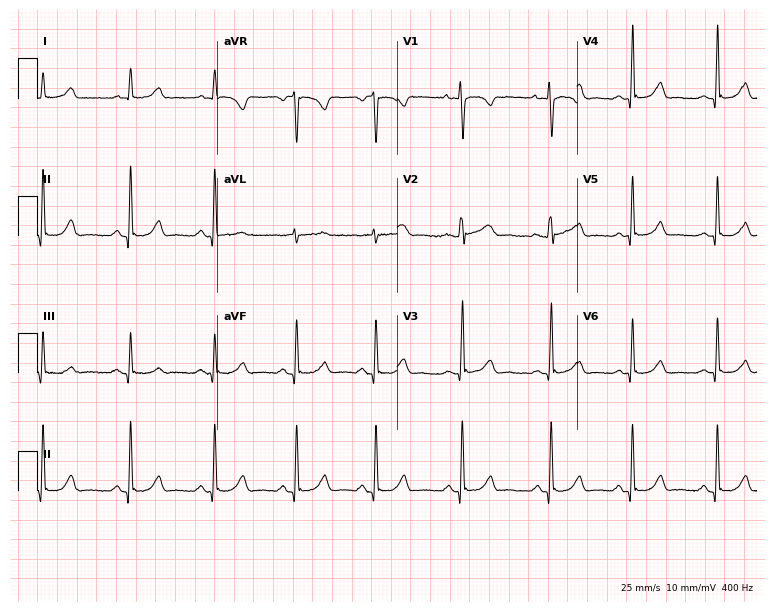
ECG — a female patient, 33 years old. Labelled as a normal ECG.